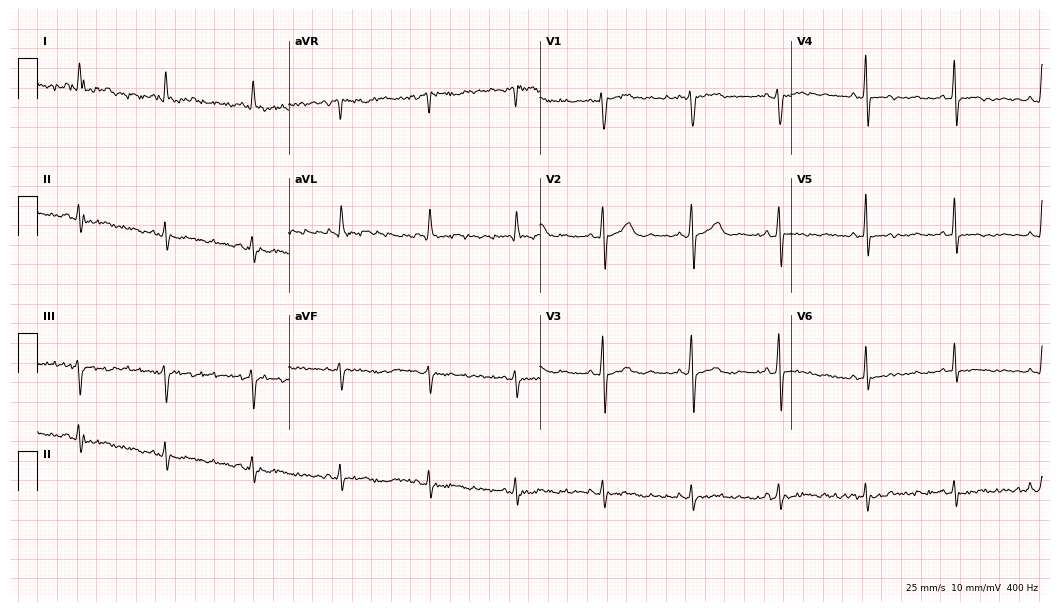
ECG (10.2-second recording at 400 Hz) — a 75-year-old male patient. Screened for six findings — first-degree AV block, right bundle branch block, left bundle branch block, sinus bradycardia, atrial fibrillation, sinus tachycardia — none is recorded.